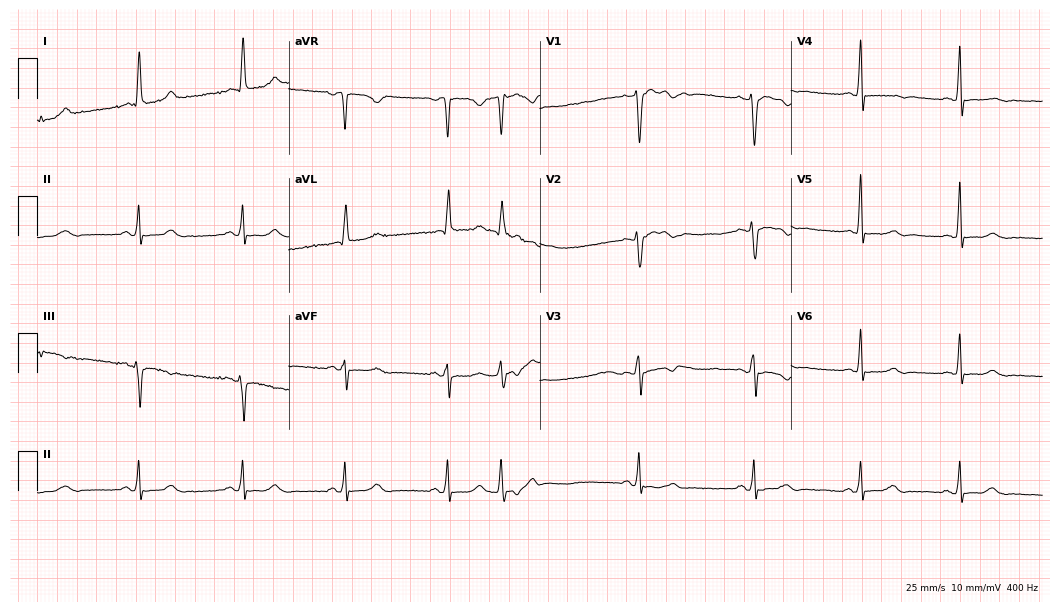
12-lead ECG from a woman, 63 years old (10.2-second recording at 400 Hz). No first-degree AV block, right bundle branch block (RBBB), left bundle branch block (LBBB), sinus bradycardia, atrial fibrillation (AF) or sinus tachycardia recorded for this tracing.